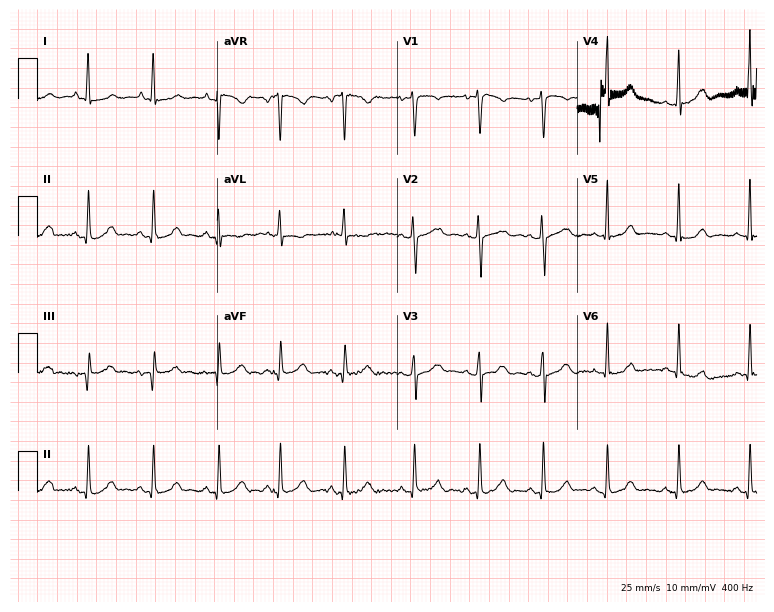
Resting 12-lead electrocardiogram. Patient: a woman, 17 years old. Read as a normal ECG.